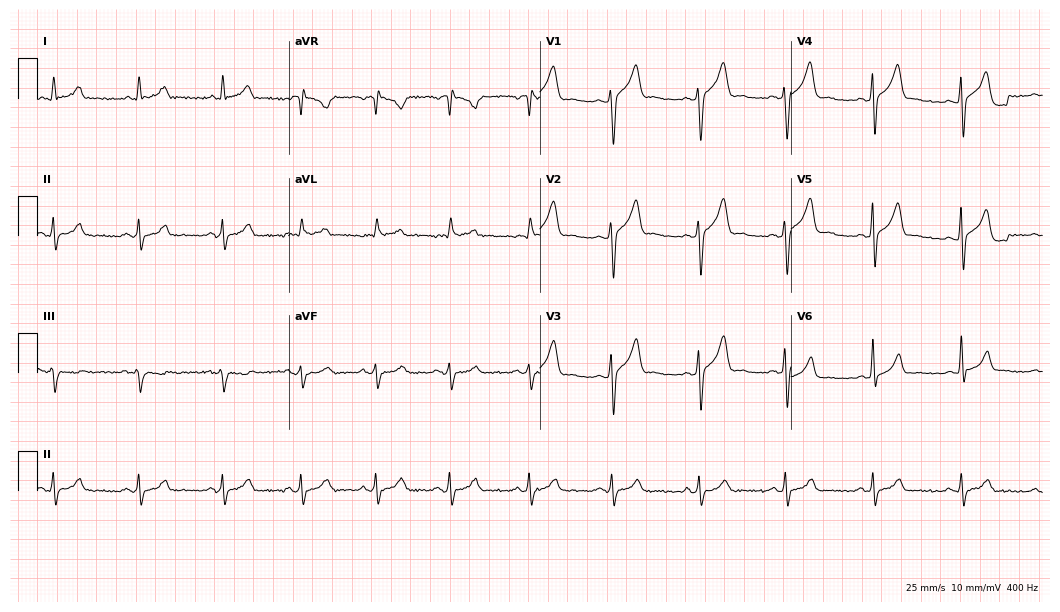
Resting 12-lead electrocardiogram. Patient: a 41-year-old male. Read as a normal ECG.